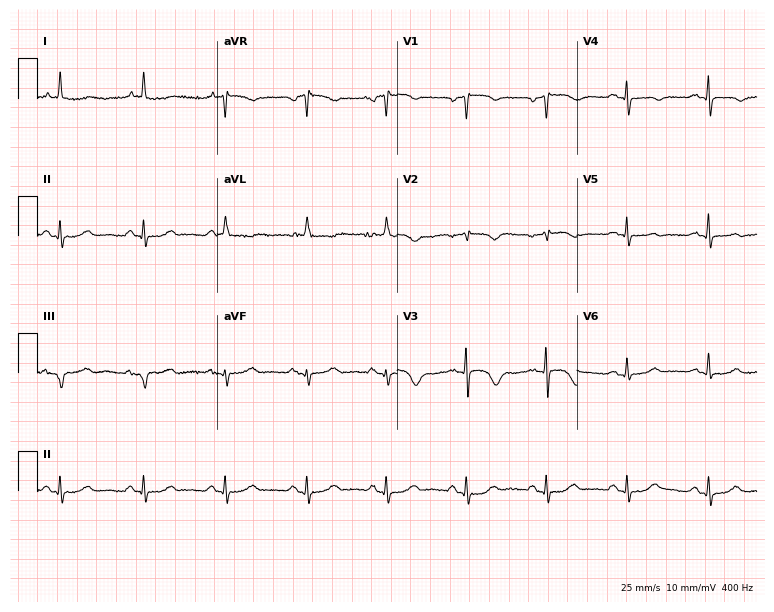
Standard 12-lead ECG recorded from a 79-year-old female patient. None of these six findings is recorded: first-degree AV block, right bundle branch block (RBBB), left bundle branch block (LBBB), sinus bradycardia, atrial fibrillation (AF), sinus tachycardia.